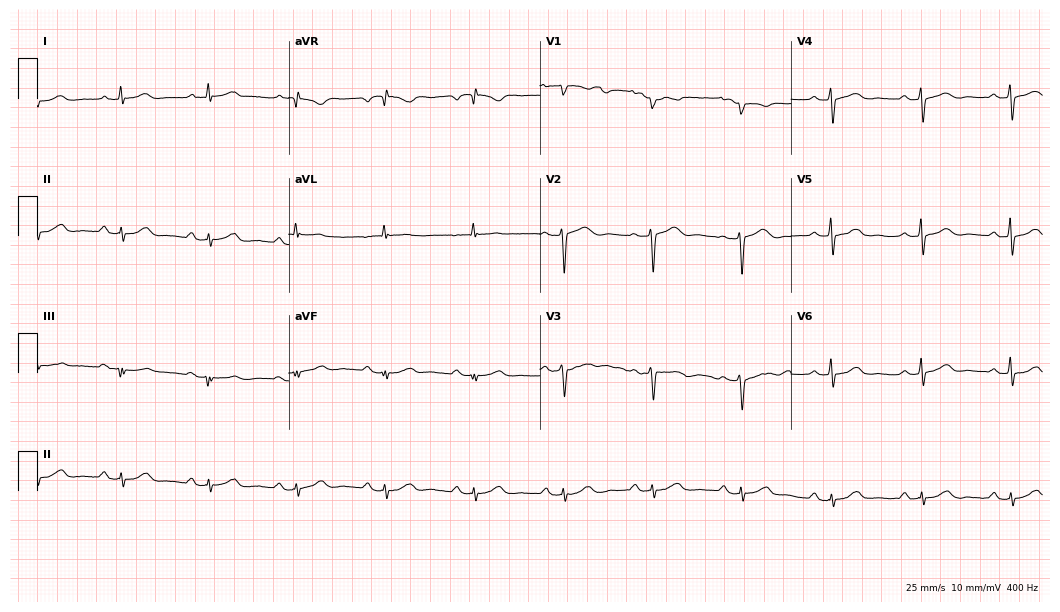
Resting 12-lead electrocardiogram. Patient: a female, 51 years old. Read as a normal ECG.